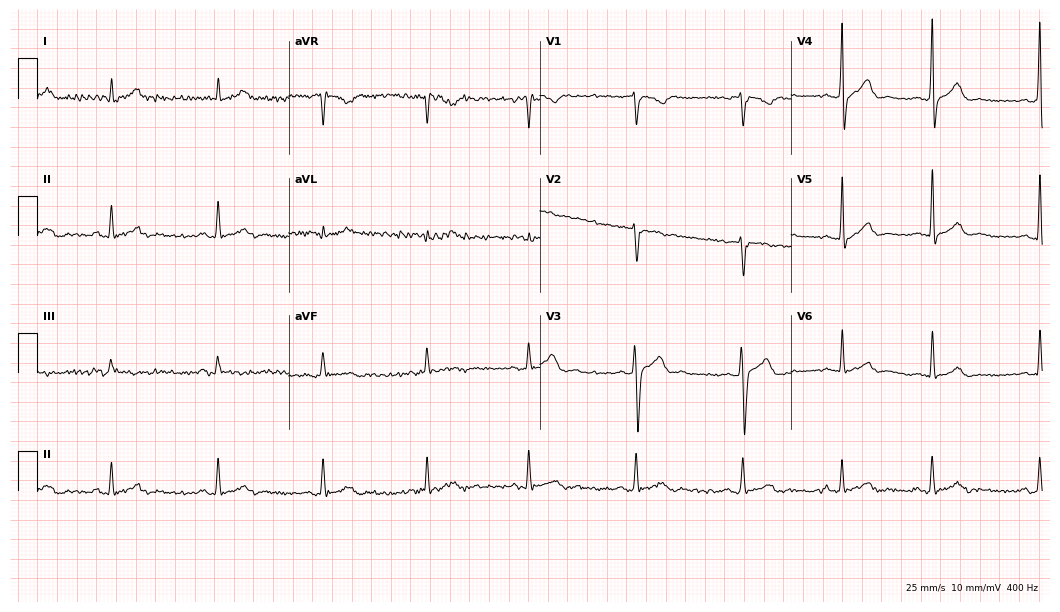
12-lead ECG from a 28-year-old male. No first-degree AV block, right bundle branch block (RBBB), left bundle branch block (LBBB), sinus bradycardia, atrial fibrillation (AF) or sinus tachycardia recorded for this tracing.